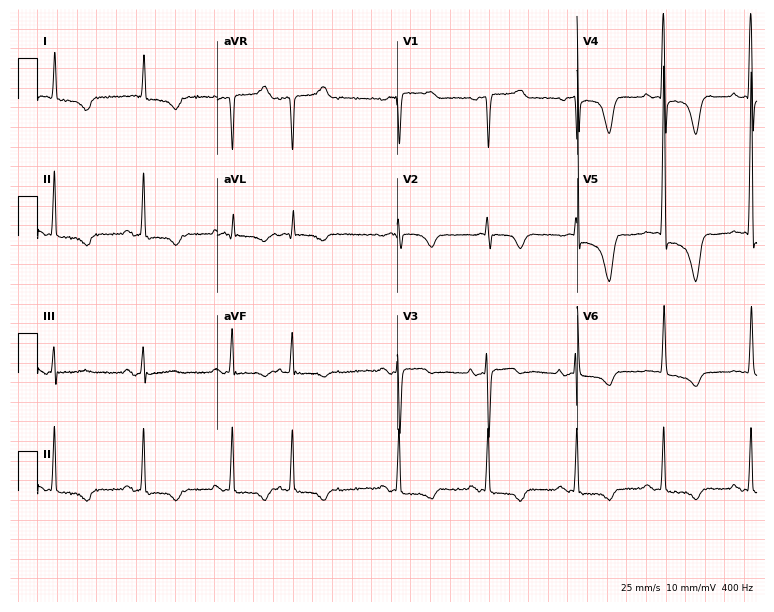
12-lead ECG from a female, 72 years old. No first-degree AV block, right bundle branch block (RBBB), left bundle branch block (LBBB), sinus bradycardia, atrial fibrillation (AF) or sinus tachycardia recorded for this tracing.